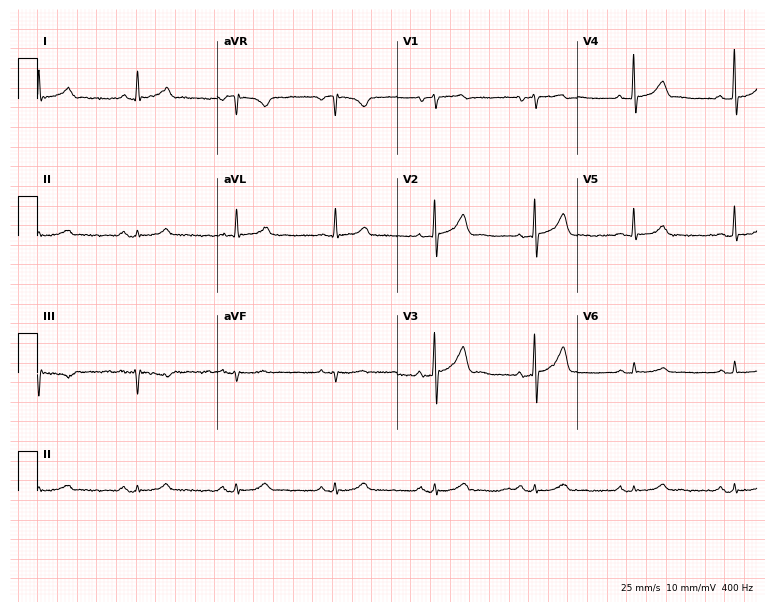
ECG (7.3-second recording at 400 Hz) — a male patient, 69 years old. Screened for six findings — first-degree AV block, right bundle branch block, left bundle branch block, sinus bradycardia, atrial fibrillation, sinus tachycardia — none is recorded.